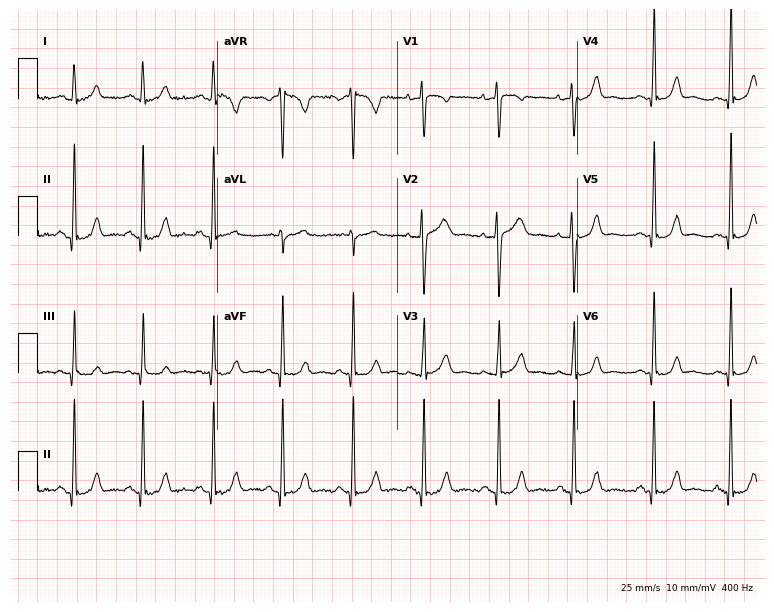
12-lead ECG from a 19-year-old woman. Recorded interpretation: within normal limits.